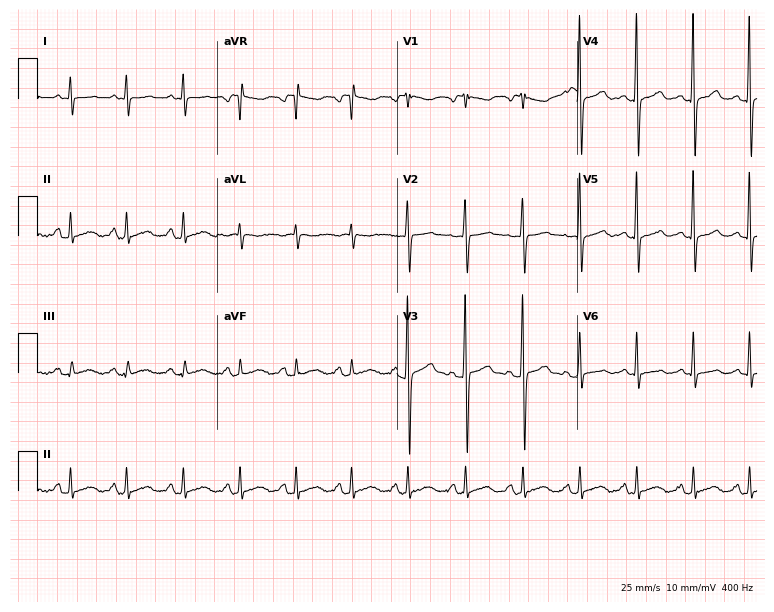
ECG (7.3-second recording at 400 Hz) — a 53-year-old female. Findings include sinus tachycardia (a sinus rate of 100 beats per minute or more).